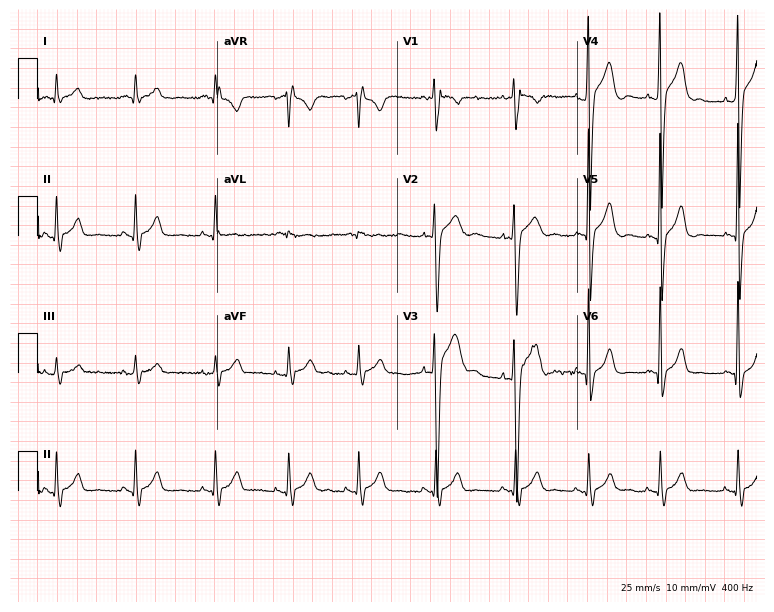
Resting 12-lead electrocardiogram (7.3-second recording at 400 Hz). Patient: a man, 17 years old. None of these six findings is recorded: first-degree AV block, right bundle branch block, left bundle branch block, sinus bradycardia, atrial fibrillation, sinus tachycardia.